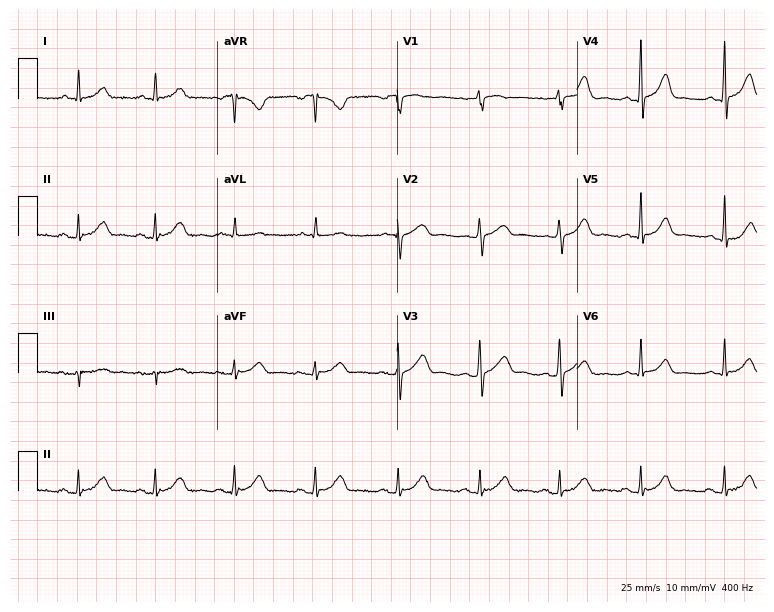
12-lead ECG from a female, 69 years old. Screened for six findings — first-degree AV block, right bundle branch block, left bundle branch block, sinus bradycardia, atrial fibrillation, sinus tachycardia — none is recorded.